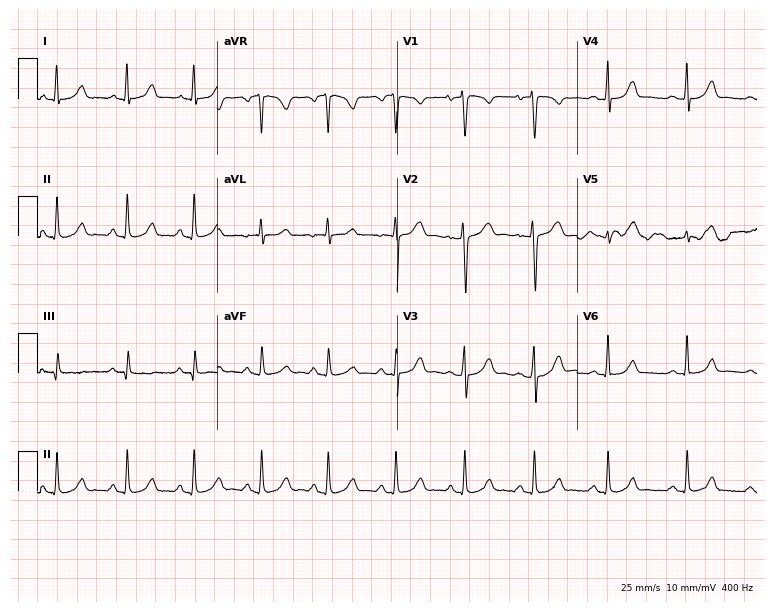
Electrocardiogram, a woman, 24 years old. Overall reading on record: normal ECG.